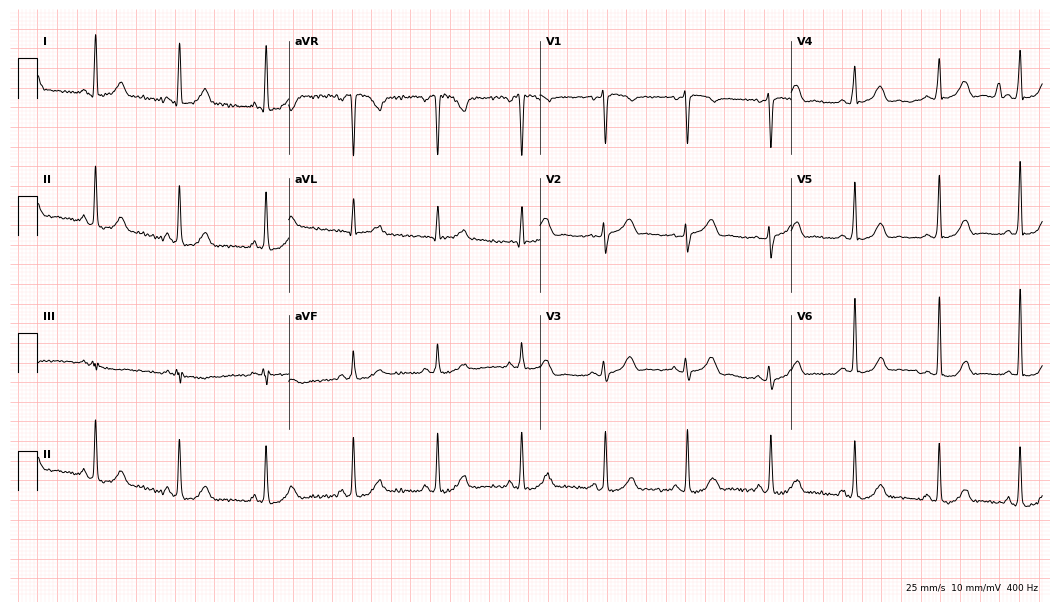
12-lead ECG from a female patient, 39 years old (10.2-second recording at 400 Hz). Recorded interpretation: within normal limits.